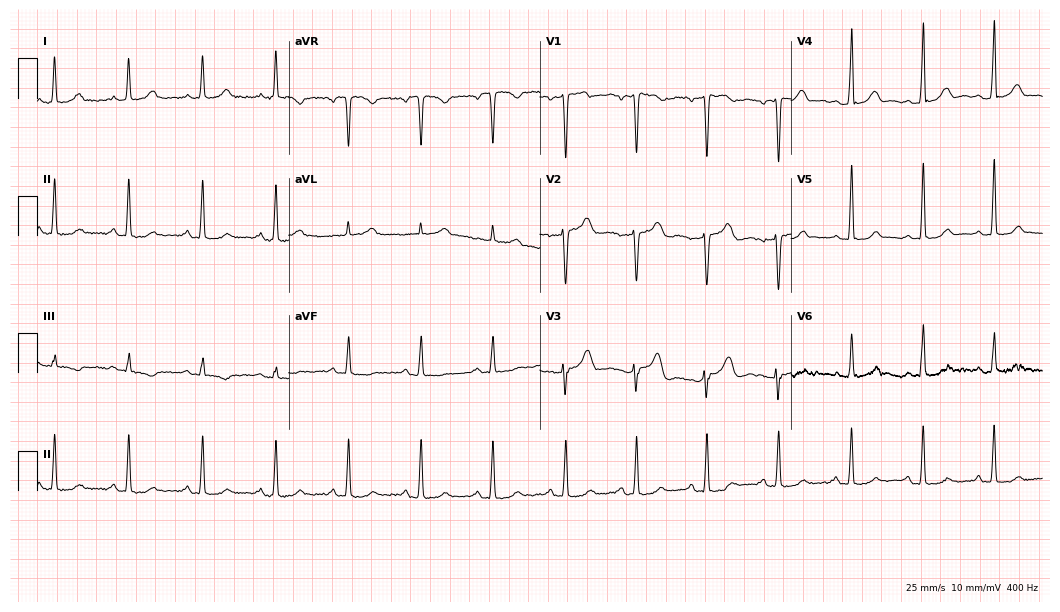
12-lead ECG from a 41-year-old female. Labelled as a normal ECG.